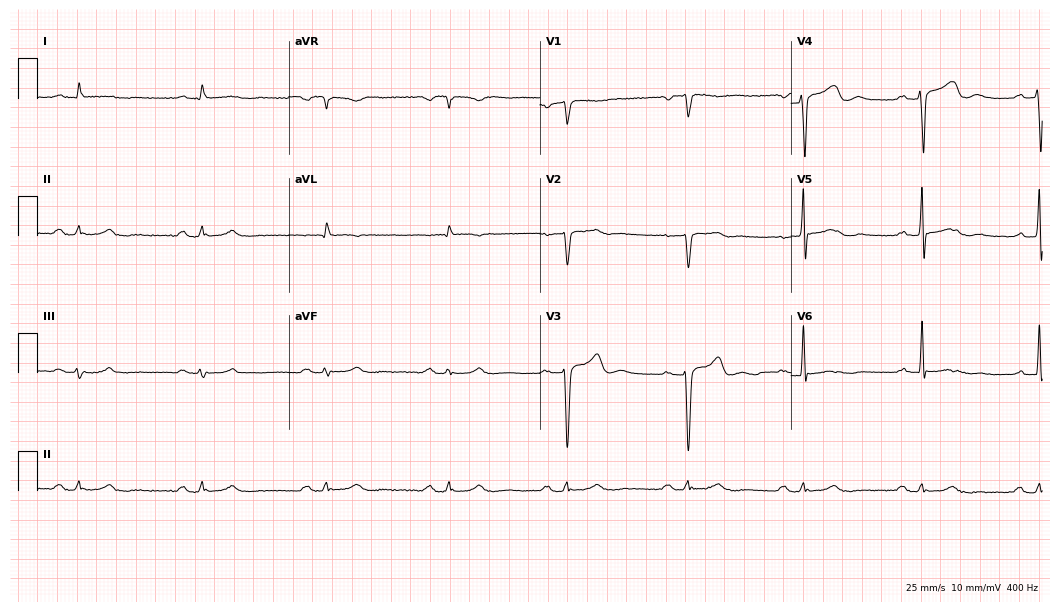
Standard 12-lead ECG recorded from a 74-year-old male patient (10.2-second recording at 400 Hz). None of these six findings is recorded: first-degree AV block, right bundle branch block, left bundle branch block, sinus bradycardia, atrial fibrillation, sinus tachycardia. Other findings, if any, are not listed.